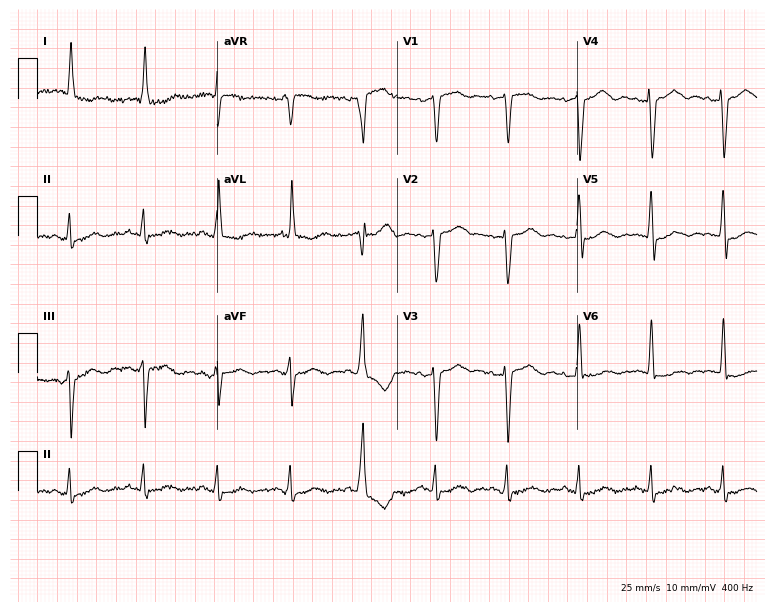
ECG (7.3-second recording at 400 Hz) — a 76-year-old female. Screened for six findings — first-degree AV block, right bundle branch block, left bundle branch block, sinus bradycardia, atrial fibrillation, sinus tachycardia — none is recorded.